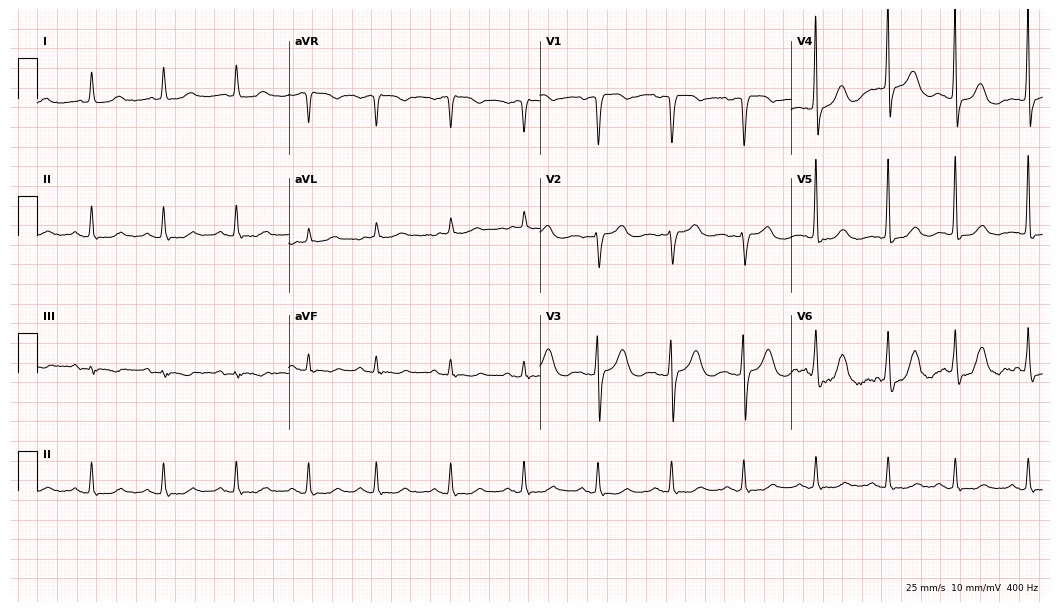
ECG (10.2-second recording at 400 Hz) — a 79-year-old woman. Labelled as a normal ECG.